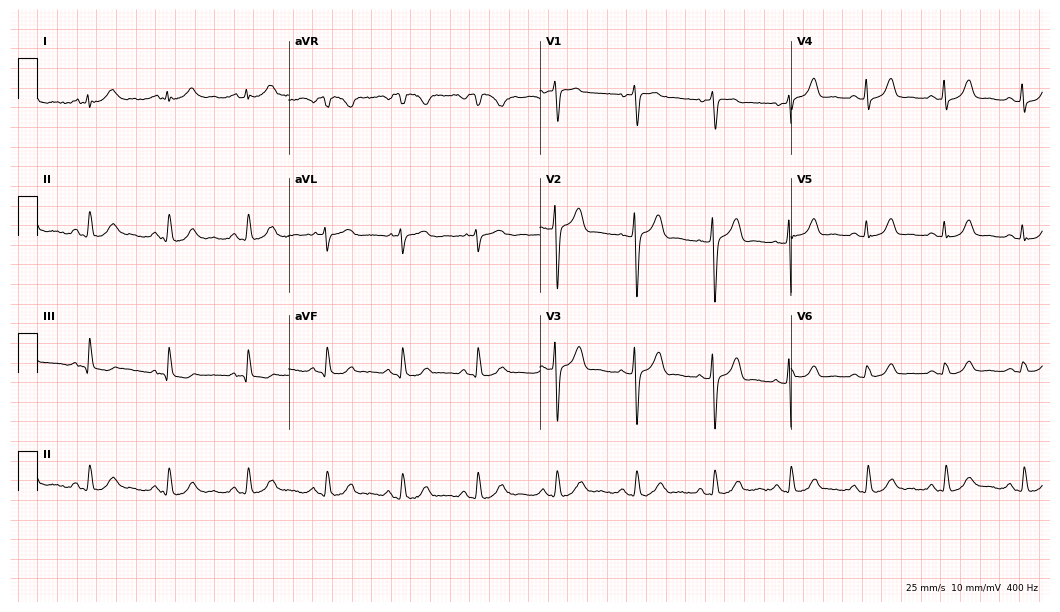
ECG — a 59-year-old female patient. Labelled as a normal ECG.